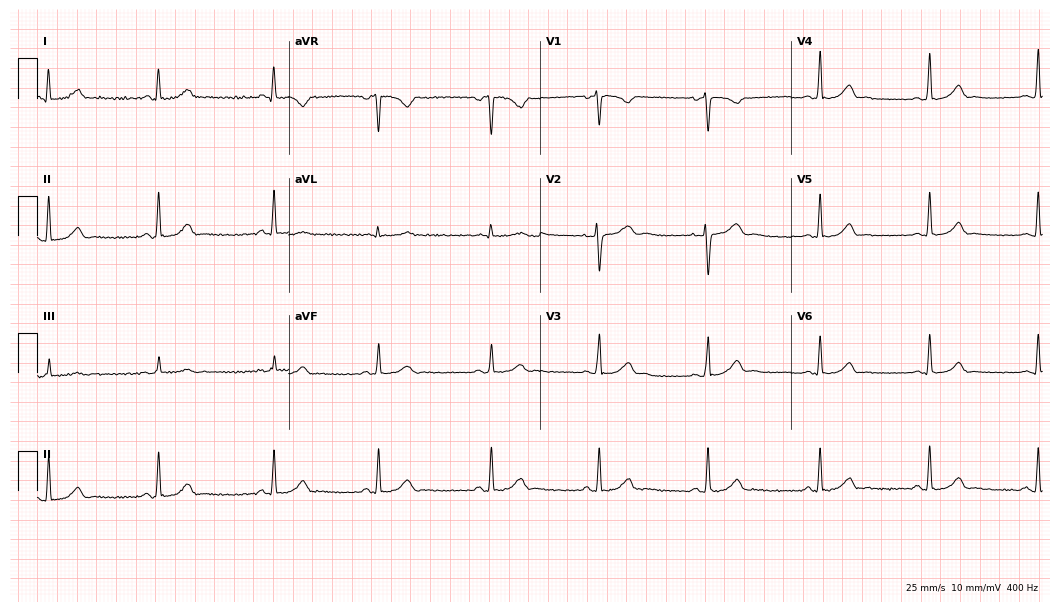
Electrocardiogram (10.2-second recording at 400 Hz), a 20-year-old female. Overall reading on record: normal ECG.